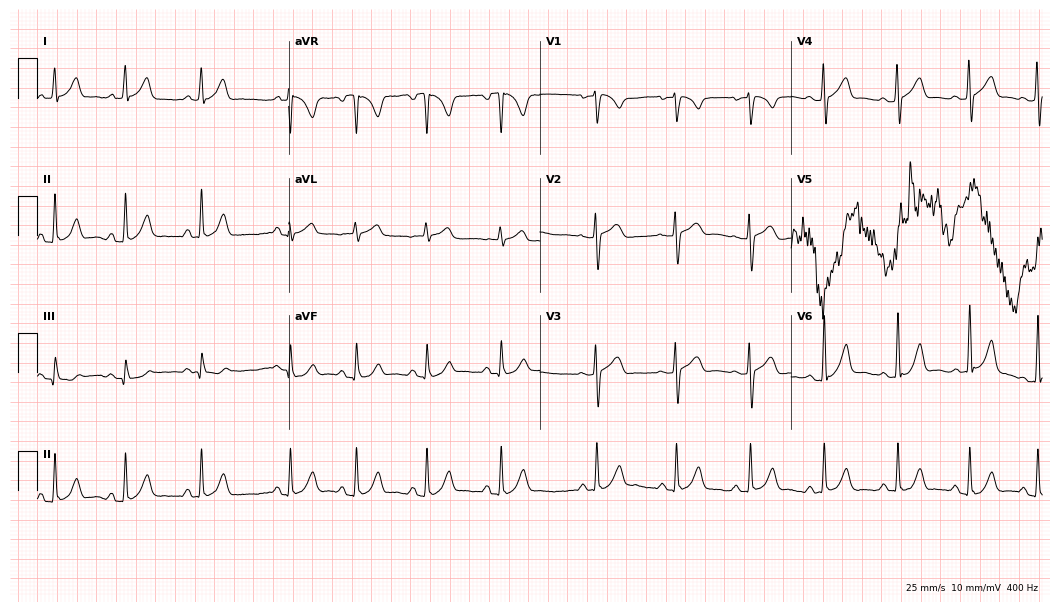
12-lead ECG (10.2-second recording at 400 Hz) from a 24-year-old female patient. Screened for six findings — first-degree AV block, right bundle branch block (RBBB), left bundle branch block (LBBB), sinus bradycardia, atrial fibrillation (AF), sinus tachycardia — none is recorded.